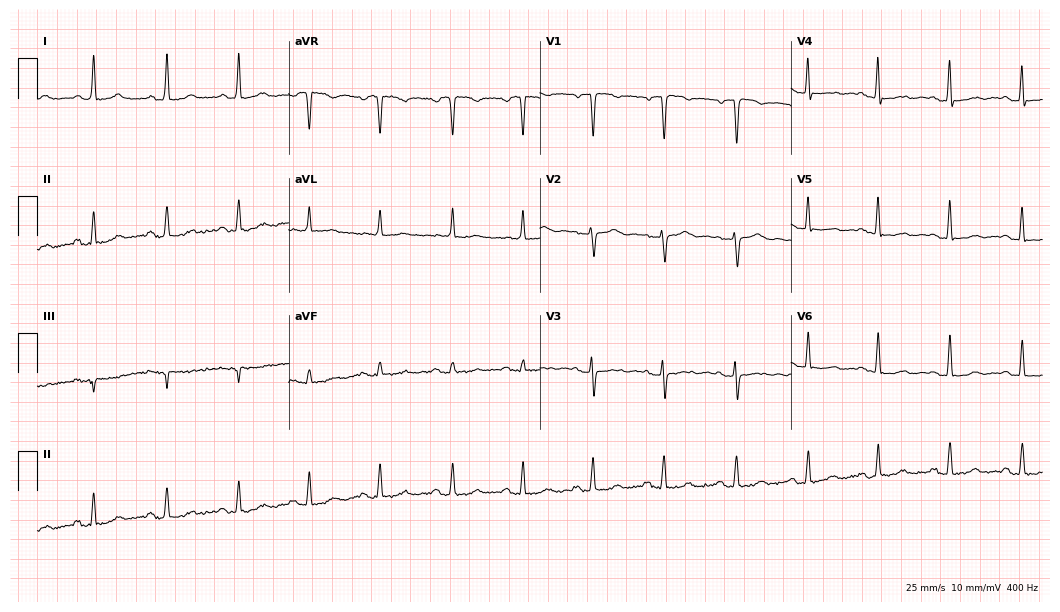
ECG (10.2-second recording at 400 Hz) — a 61-year-old female. Screened for six findings — first-degree AV block, right bundle branch block, left bundle branch block, sinus bradycardia, atrial fibrillation, sinus tachycardia — none is recorded.